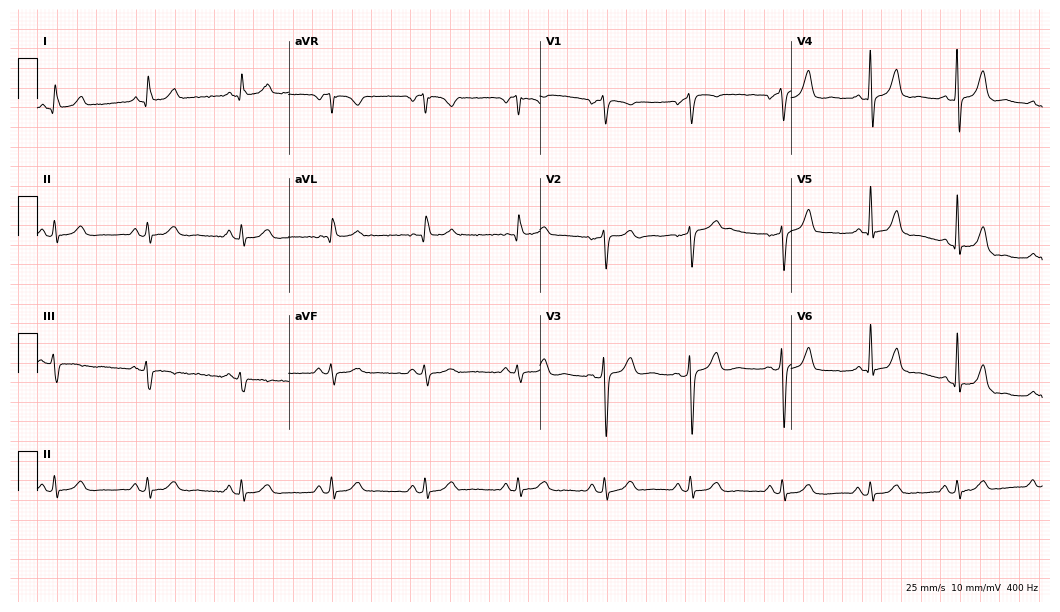
Resting 12-lead electrocardiogram. Patient: a female, 60 years old. None of these six findings is recorded: first-degree AV block, right bundle branch block, left bundle branch block, sinus bradycardia, atrial fibrillation, sinus tachycardia.